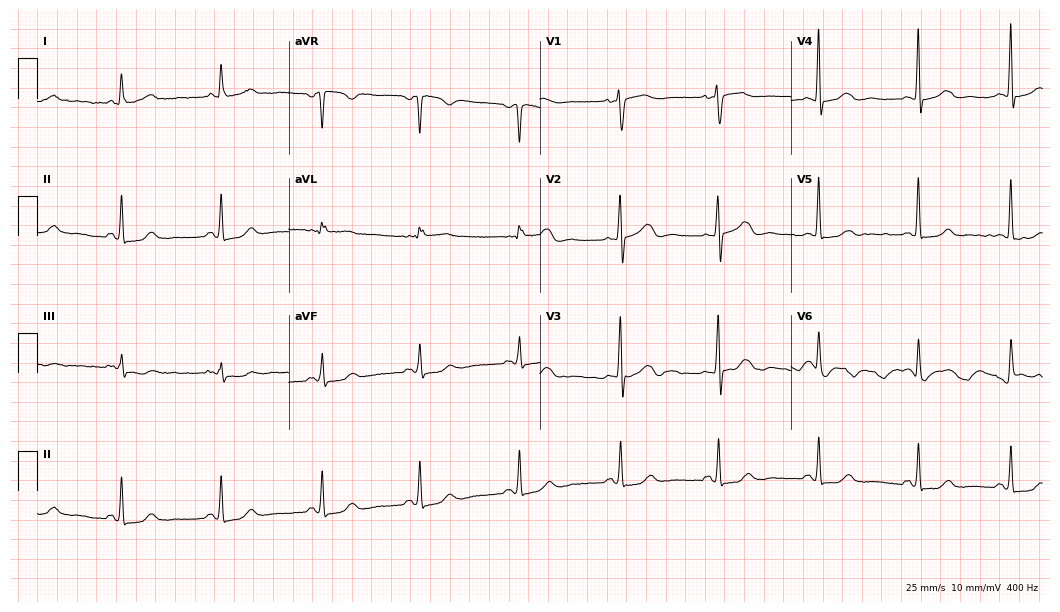
Electrocardiogram, a female, 67 years old. Of the six screened findings (first-degree AV block, right bundle branch block, left bundle branch block, sinus bradycardia, atrial fibrillation, sinus tachycardia), none is recorded. Findings outside these six are not listed.